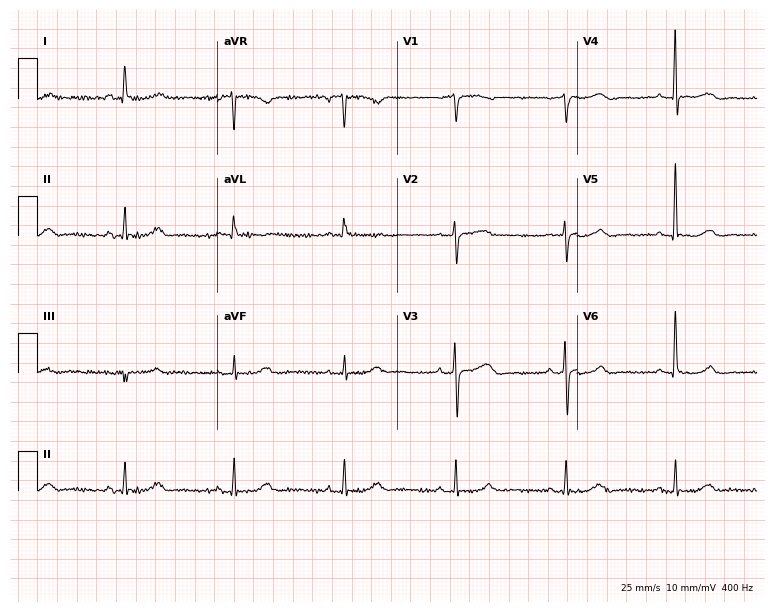
Standard 12-lead ECG recorded from a male, 81 years old (7.3-second recording at 400 Hz). None of these six findings is recorded: first-degree AV block, right bundle branch block, left bundle branch block, sinus bradycardia, atrial fibrillation, sinus tachycardia. Only these six findings were labelled.